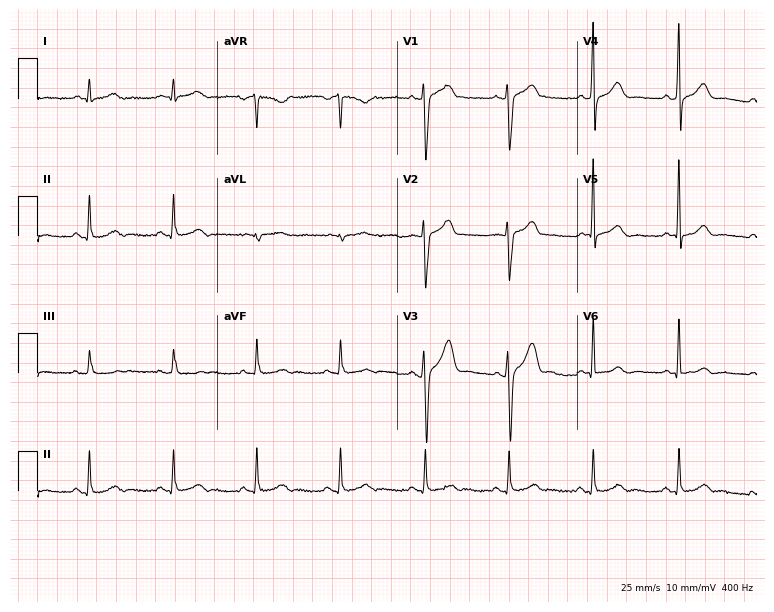
ECG — a male patient, 27 years old. Labelled as a normal ECG.